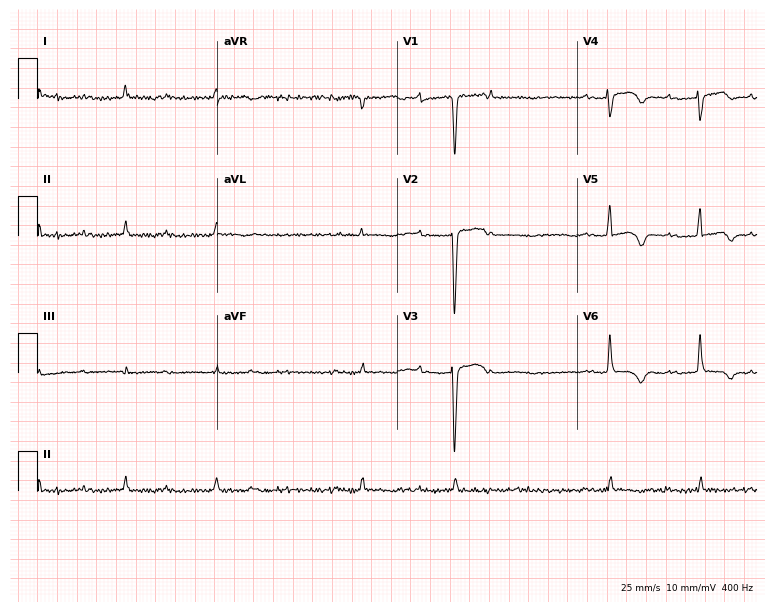
12-lead ECG from a man, 63 years old (7.3-second recording at 400 Hz). No first-degree AV block, right bundle branch block (RBBB), left bundle branch block (LBBB), sinus bradycardia, atrial fibrillation (AF) or sinus tachycardia recorded for this tracing. Findings outside these six are not listed.